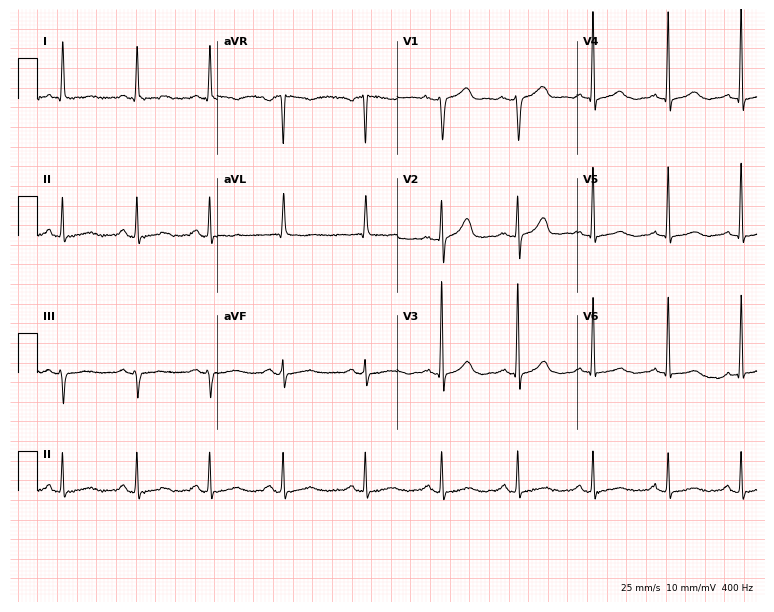
ECG — a woman, 61 years old. Screened for six findings — first-degree AV block, right bundle branch block (RBBB), left bundle branch block (LBBB), sinus bradycardia, atrial fibrillation (AF), sinus tachycardia — none is recorded.